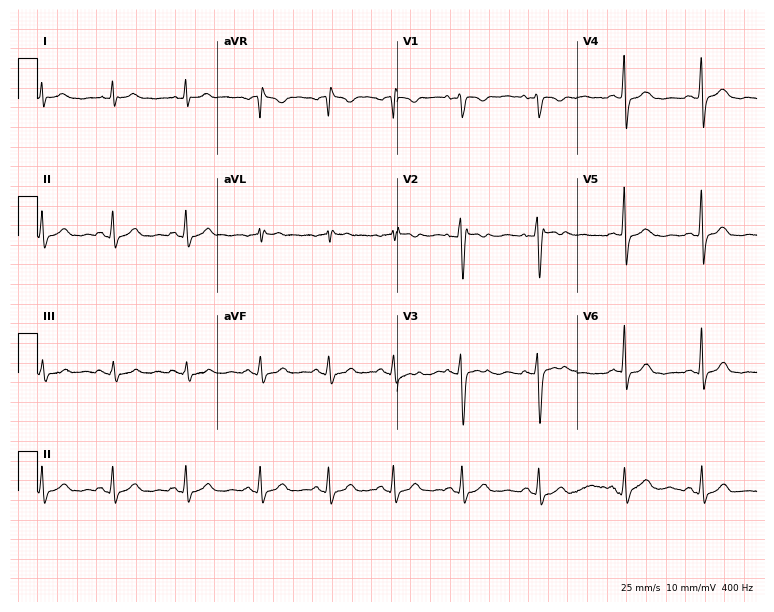
Resting 12-lead electrocardiogram. Patient: a female, 32 years old. None of these six findings is recorded: first-degree AV block, right bundle branch block, left bundle branch block, sinus bradycardia, atrial fibrillation, sinus tachycardia. Only these six findings were labelled.